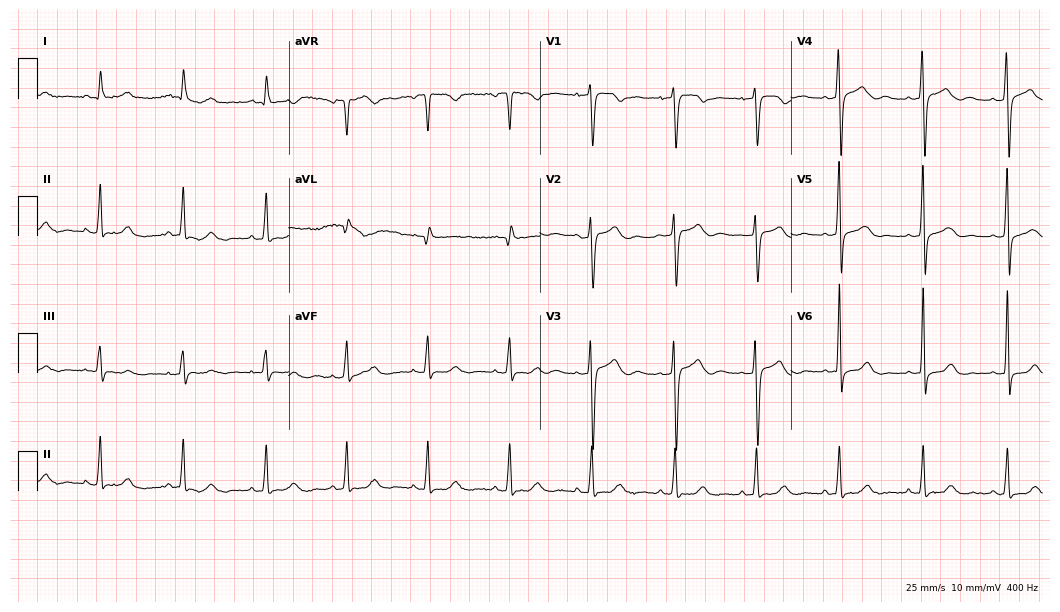
Standard 12-lead ECG recorded from a 47-year-old female patient. Read as a normal ECG.